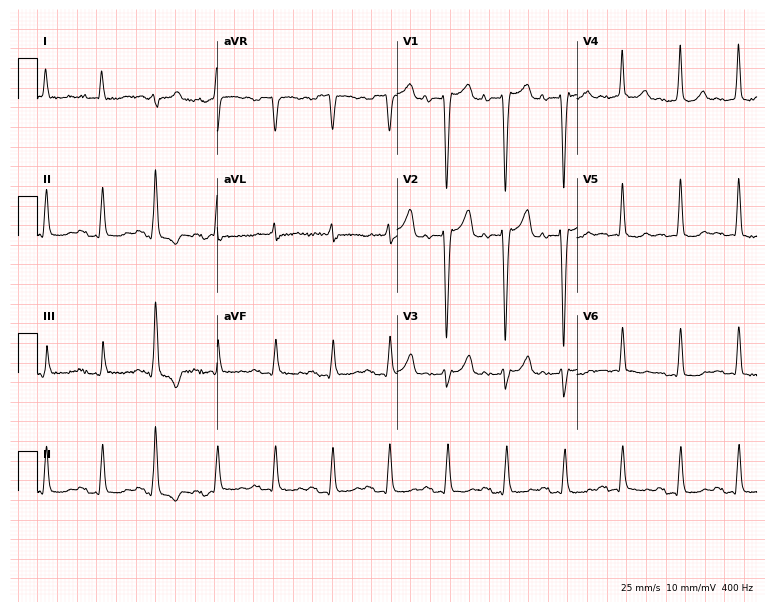
ECG — a woman, 83 years old. Findings include sinus tachycardia (a sinus rate of 100 beats per minute or more).